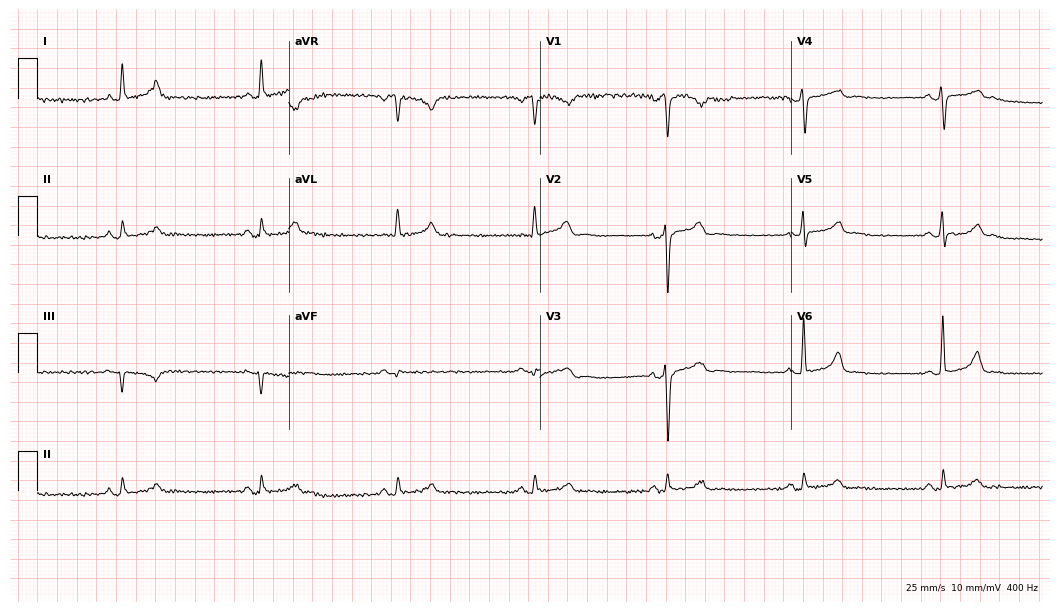
12-lead ECG from a 47-year-old male patient. Findings include sinus bradycardia (a sinus rate of 50 beats per minute or less).